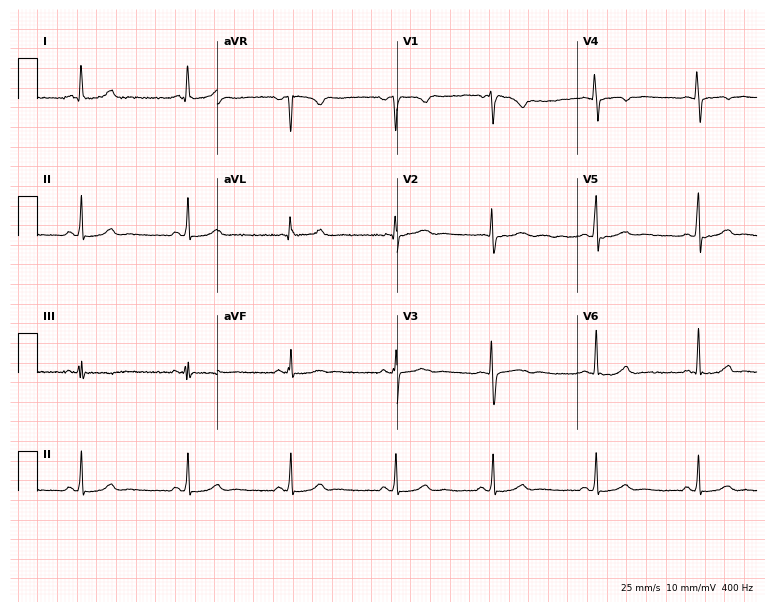
Standard 12-lead ECG recorded from a 27-year-old female patient (7.3-second recording at 400 Hz). Read as a normal ECG.